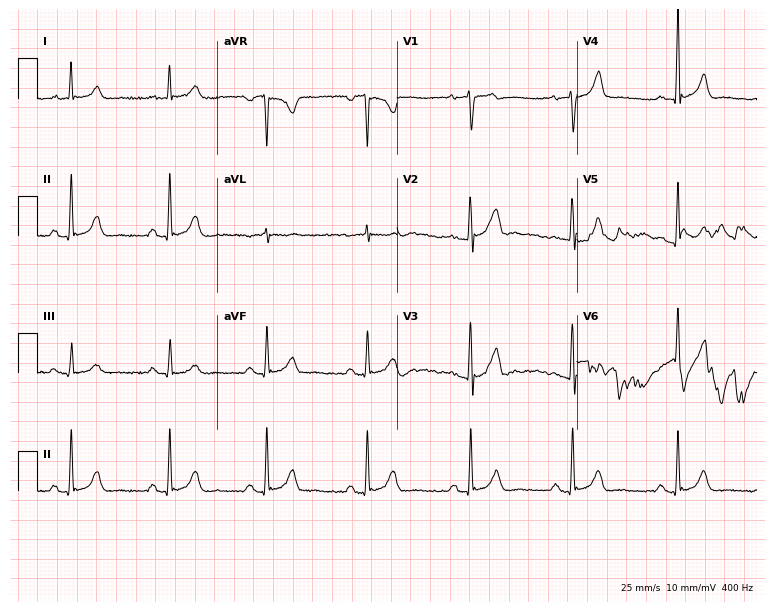
12-lead ECG (7.3-second recording at 400 Hz) from a 47-year-old male. Labelled as a normal ECG.